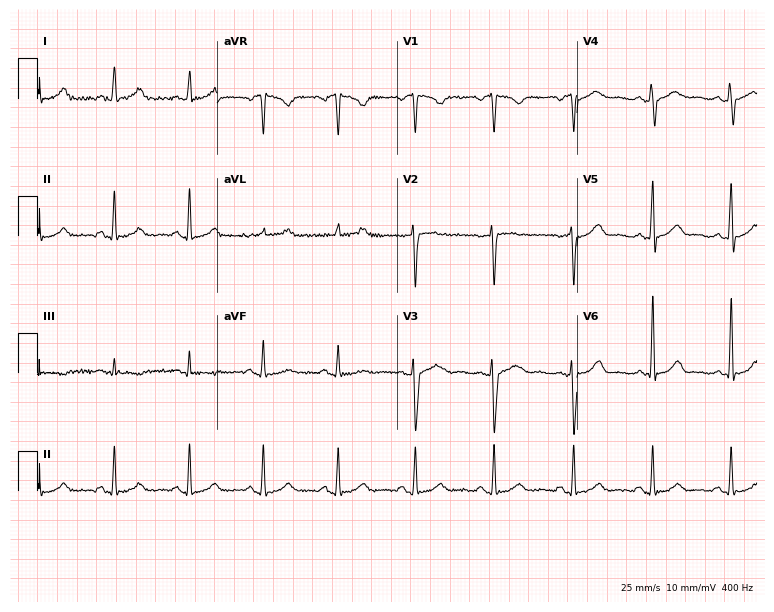
Electrocardiogram (7.3-second recording at 400 Hz), a female patient, 36 years old. Of the six screened findings (first-degree AV block, right bundle branch block (RBBB), left bundle branch block (LBBB), sinus bradycardia, atrial fibrillation (AF), sinus tachycardia), none is recorded. Only these six findings were labelled.